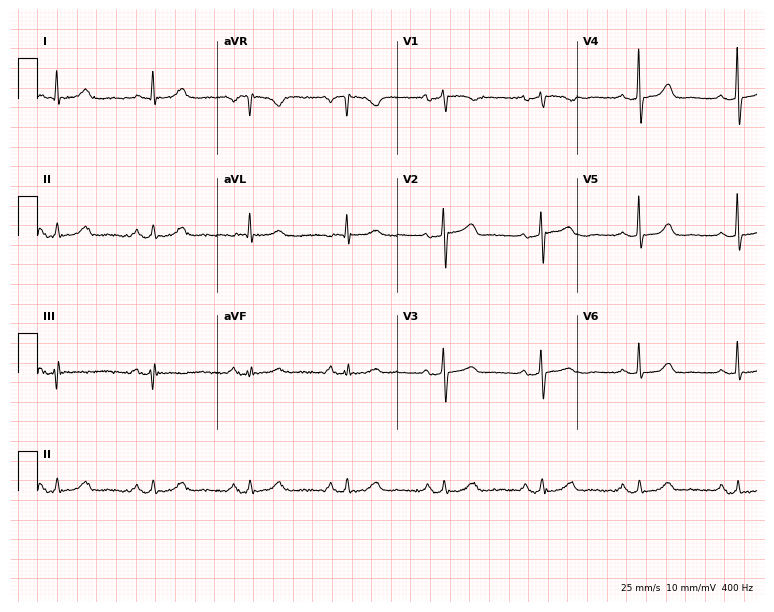
12-lead ECG from a 79-year-old female patient (7.3-second recording at 400 Hz). No first-degree AV block, right bundle branch block, left bundle branch block, sinus bradycardia, atrial fibrillation or sinus tachycardia recorded for this tracing. Only these six findings were labelled.